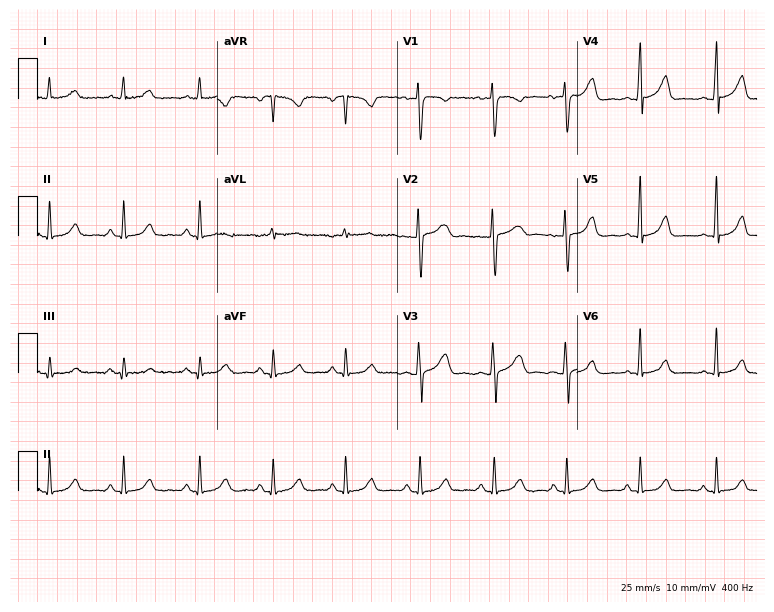
Resting 12-lead electrocardiogram. Patient: a female, 47 years old. Read as a normal ECG.